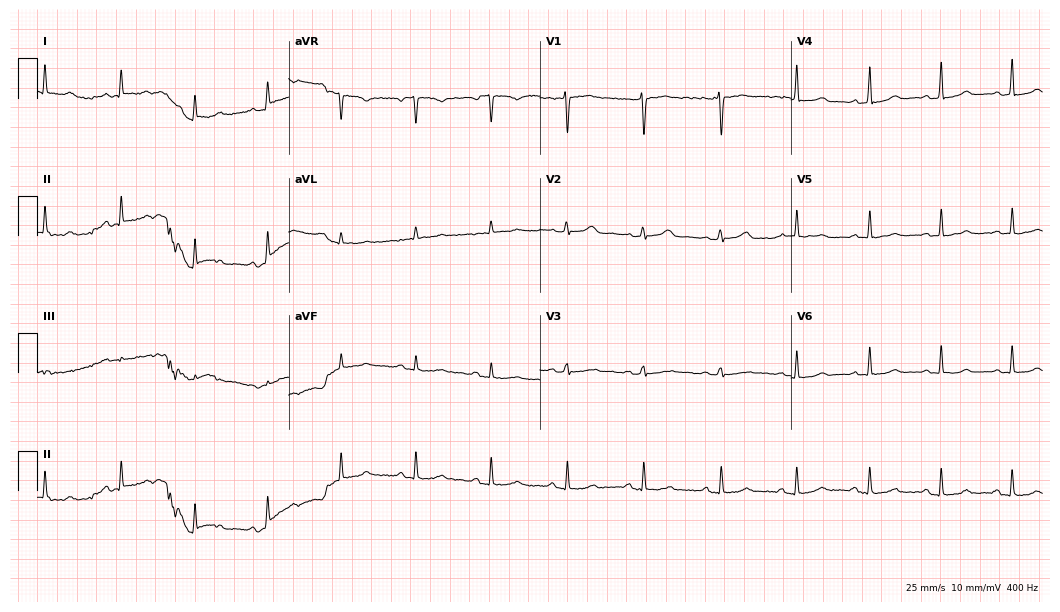
ECG — a female, 39 years old. Screened for six findings — first-degree AV block, right bundle branch block, left bundle branch block, sinus bradycardia, atrial fibrillation, sinus tachycardia — none is recorded.